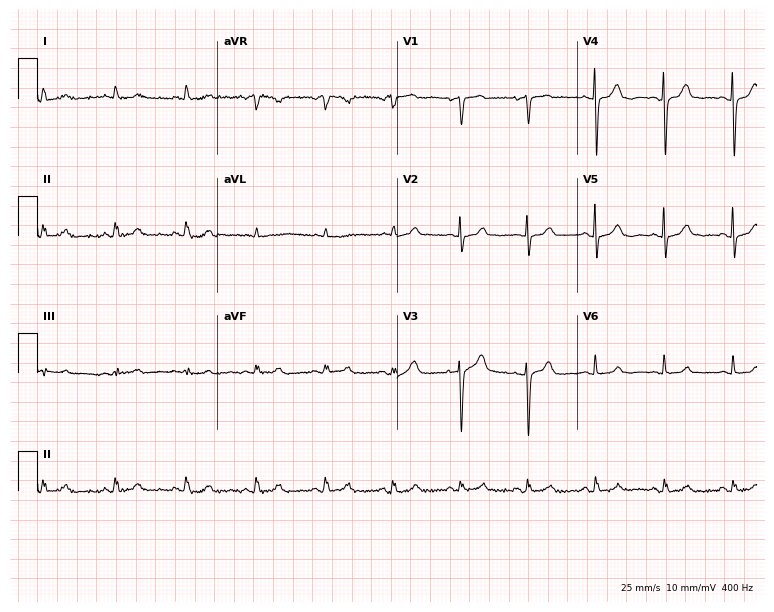
12-lead ECG (7.3-second recording at 400 Hz) from a 79-year-old female. Screened for six findings — first-degree AV block, right bundle branch block, left bundle branch block, sinus bradycardia, atrial fibrillation, sinus tachycardia — none is recorded.